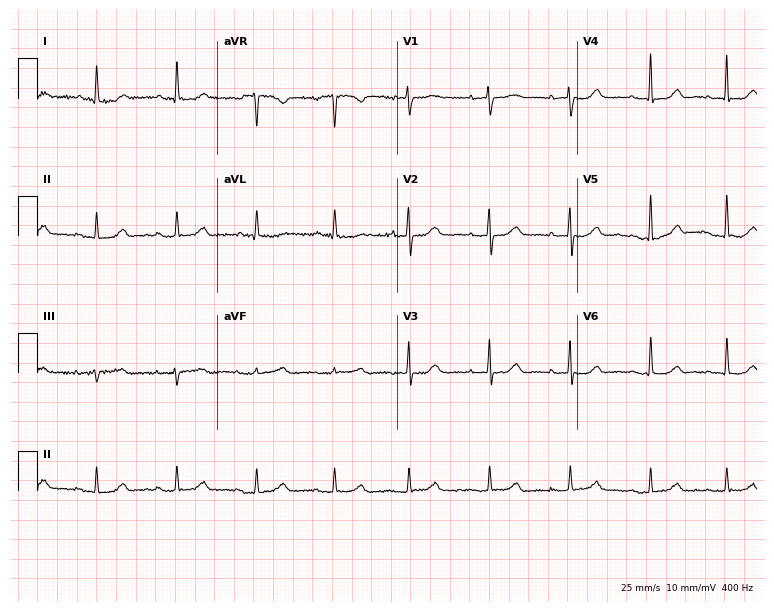
Electrocardiogram, a woman, 56 years old. Of the six screened findings (first-degree AV block, right bundle branch block, left bundle branch block, sinus bradycardia, atrial fibrillation, sinus tachycardia), none is recorded.